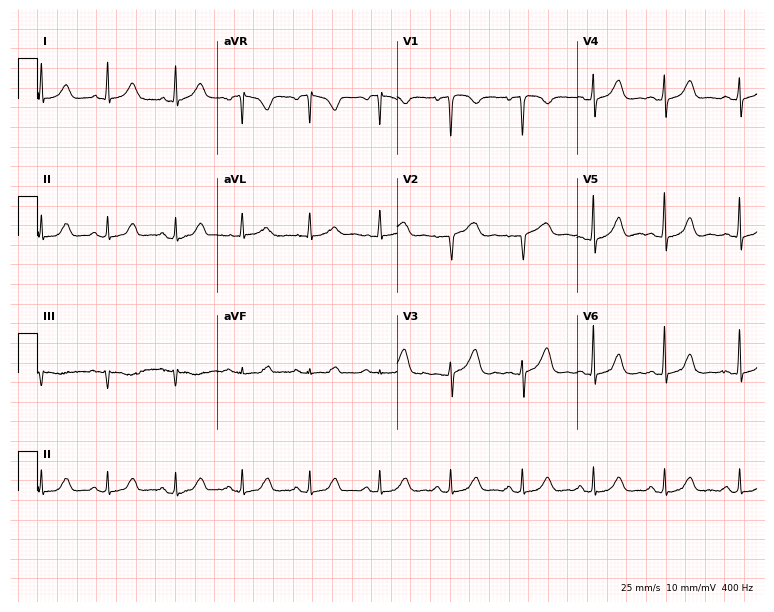
Resting 12-lead electrocardiogram. Patient: a 47-year-old female. Read as a normal ECG.